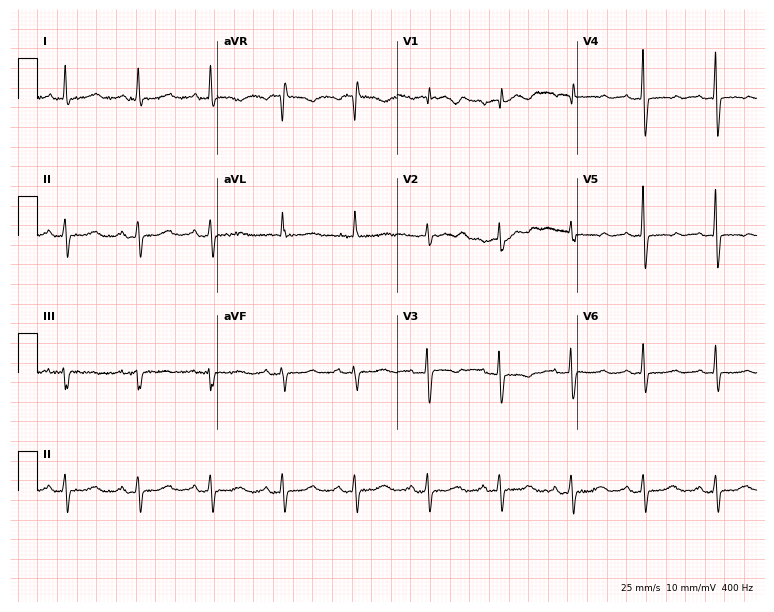
12-lead ECG from a female, 79 years old. Screened for six findings — first-degree AV block, right bundle branch block, left bundle branch block, sinus bradycardia, atrial fibrillation, sinus tachycardia — none is recorded. Only these six findings were labelled.